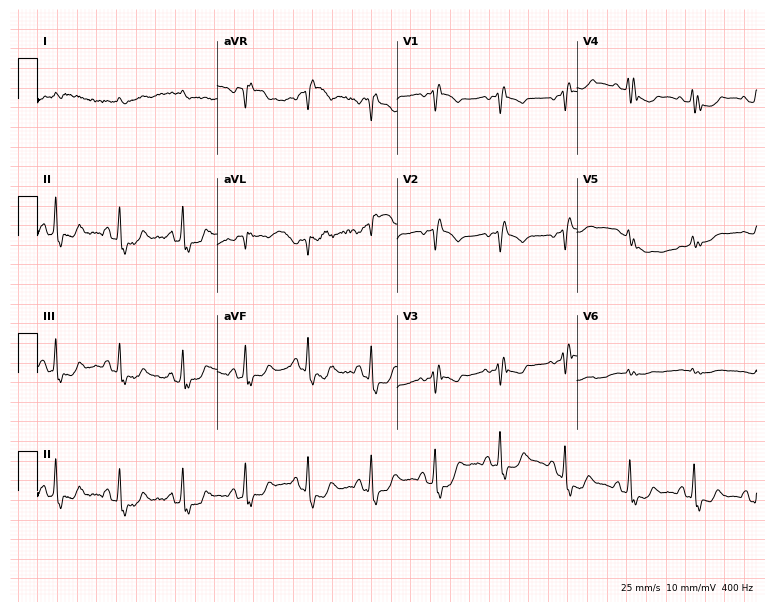
12-lead ECG (7.3-second recording at 400 Hz) from a 76-year-old male patient. Screened for six findings — first-degree AV block, right bundle branch block, left bundle branch block, sinus bradycardia, atrial fibrillation, sinus tachycardia — none is recorded. Findings outside these six are not listed.